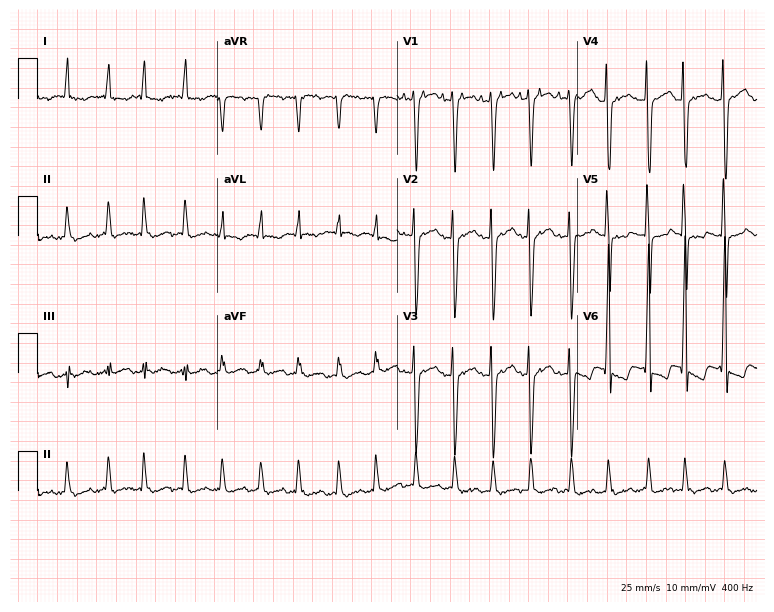
Resting 12-lead electrocardiogram. Patient: a 72-year-old man. The tracing shows sinus tachycardia (a sinus rate of 100 beats per minute or more).